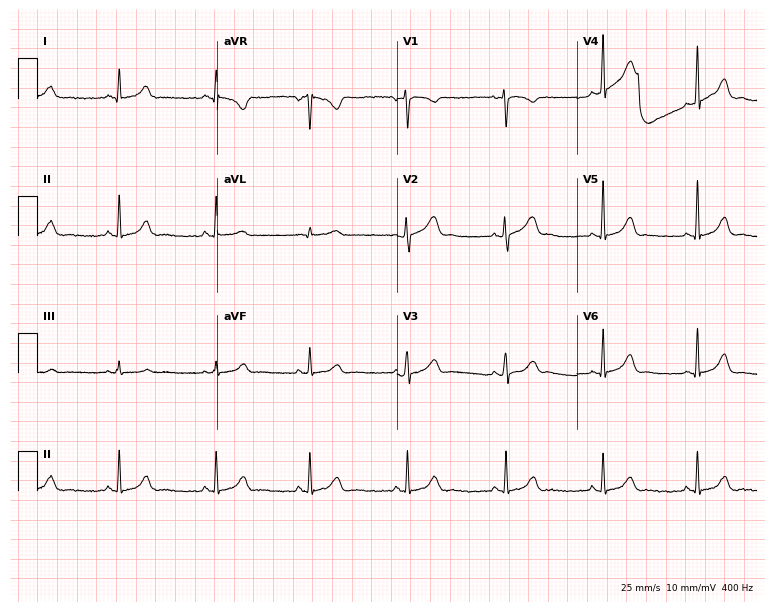
ECG (7.3-second recording at 400 Hz) — a 39-year-old female patient. Labelled as a normal ECG.